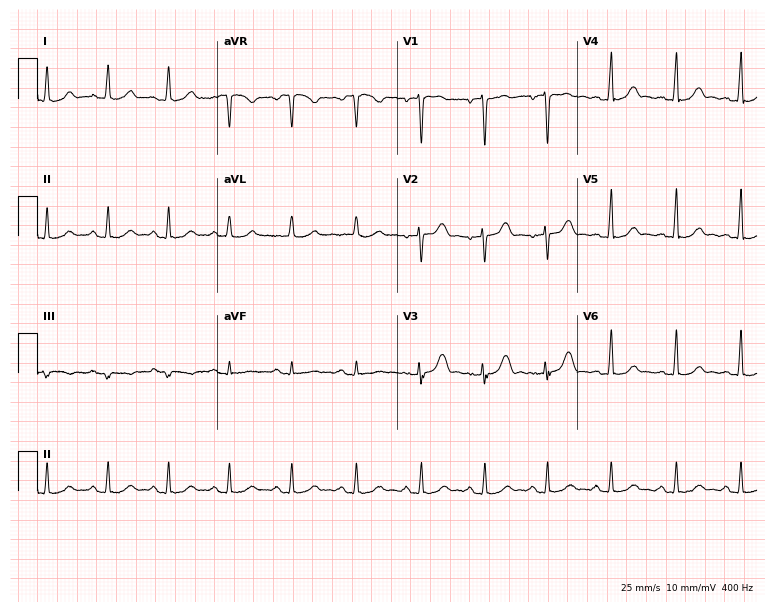
12-lead ECG (7.3-second recording at 400 Hz) from a 46-year-old woman. Labelled as a normal ECG.